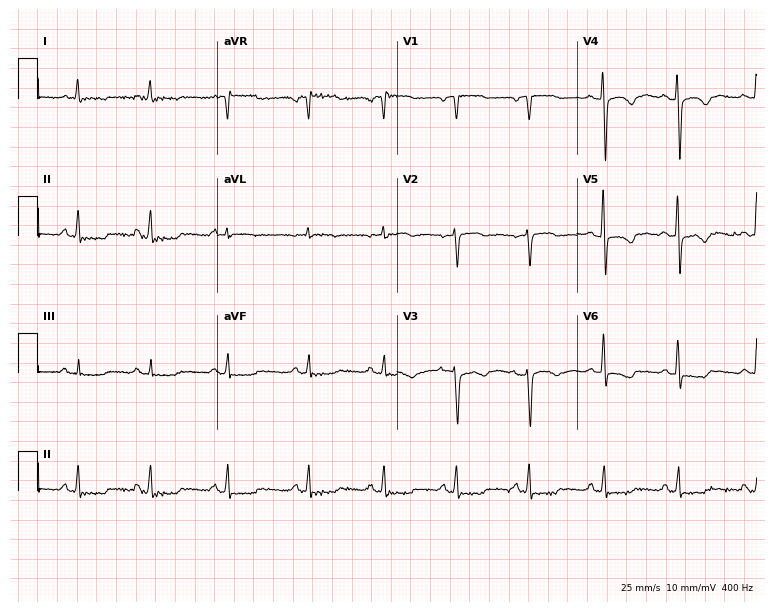
12-lead ECG (7.3-second recording at 400 Hz) from a 53-year-old female patient. Screened for six findings — first-degree AV block, right bundle branch block (RBBB), left bundle branch block (LBBB), sinus bradycardia, atrial fibrillation (AF), sinus tachycardia — none is recorded.